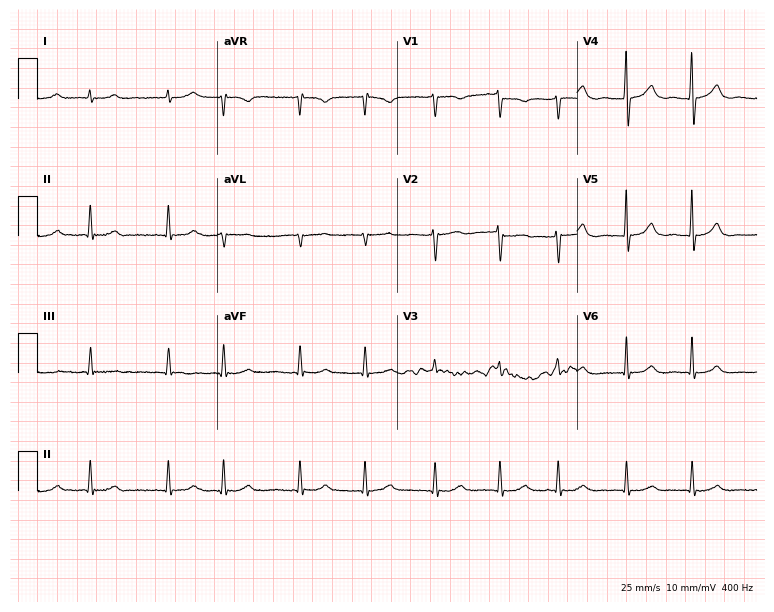
ECG (7.3-second recording at 400 Hz) — a man, 68 years old. Findings include atrial fibrillation.